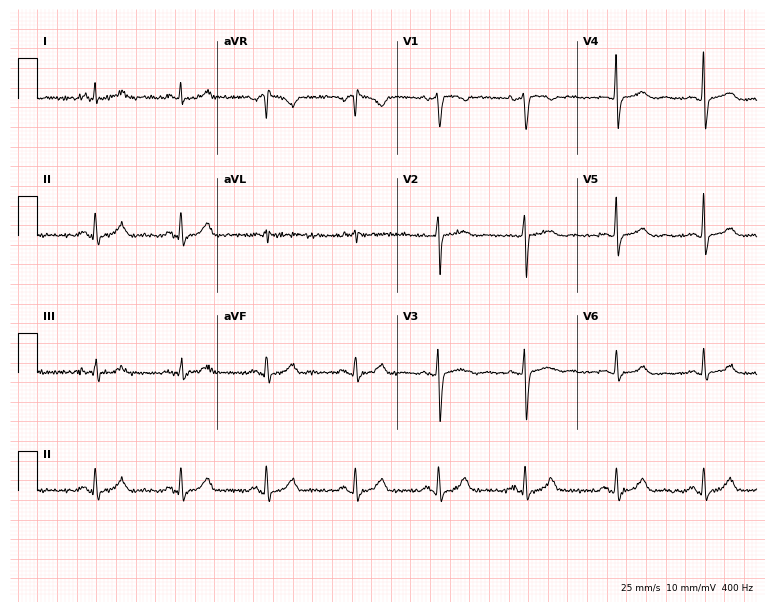
Resting 12-lead electrocardiogram. Patient: a female, 46 years old. Read as a normal ECG.